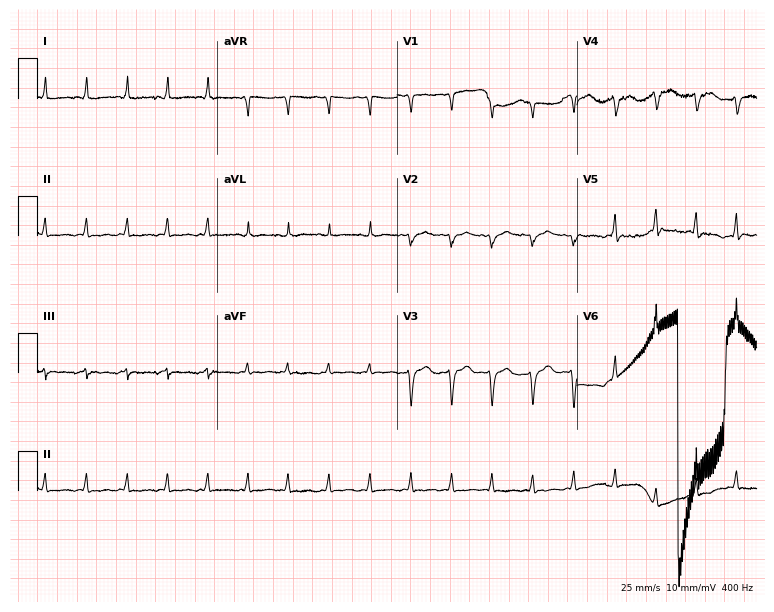
ECG (7.3-second recording at 400 Hz) — a 69-year-old female patient. Screened for six findings — first-degree AV block, right bundle branch block, left bundle branch block, sinus bradycardia, atrial fibrillation, sinus tachycardia — none is recorded. Findings outside these six are not listed.